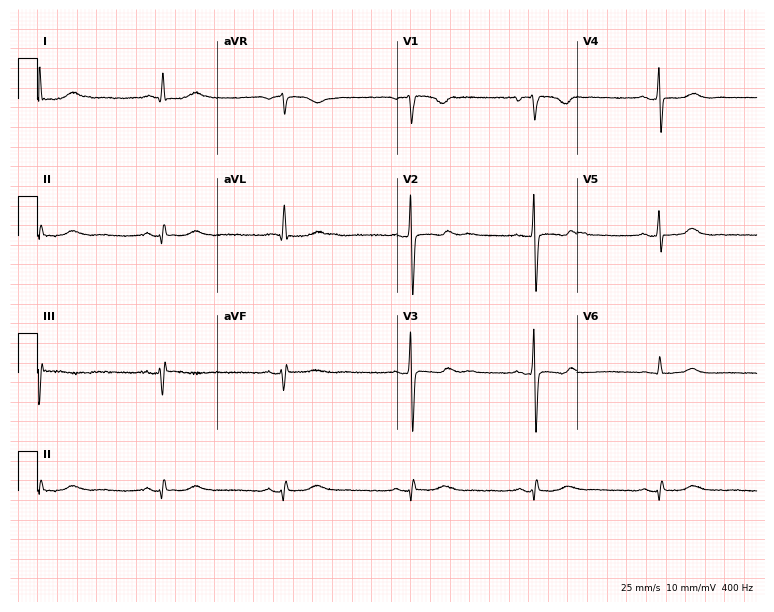
Resting 12-lead electrocardiogram (7.3-second recording at 400 Hz). Patient: a female, 62 years old. The tracing shows sinus bradycardia (a sinus rate of 50 beats per minute or less).